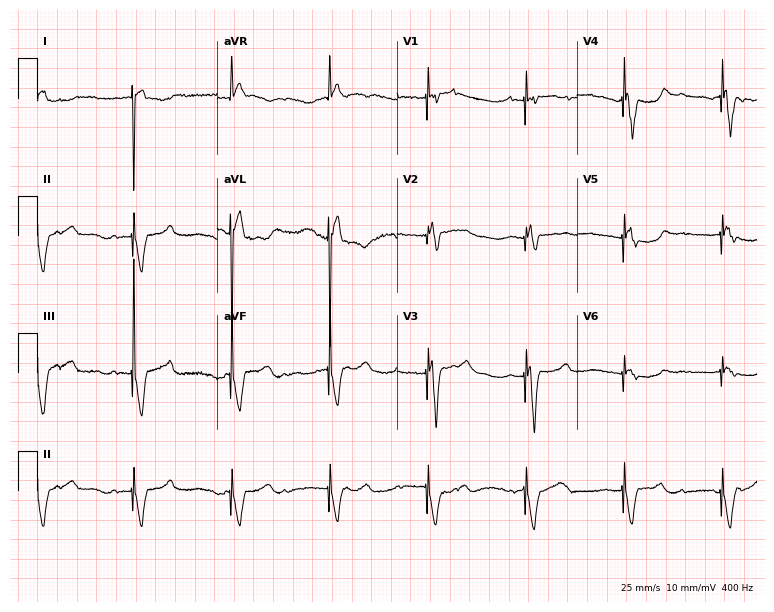
Resting 12-lead electrocardiogram. Patient: an 83-year-old man. None of these six findings is recorded: first-degree AV block, right bundle branch block, left bundle branch block, sinus bradycardia, atrial fibrillation, sinus tachycardia.